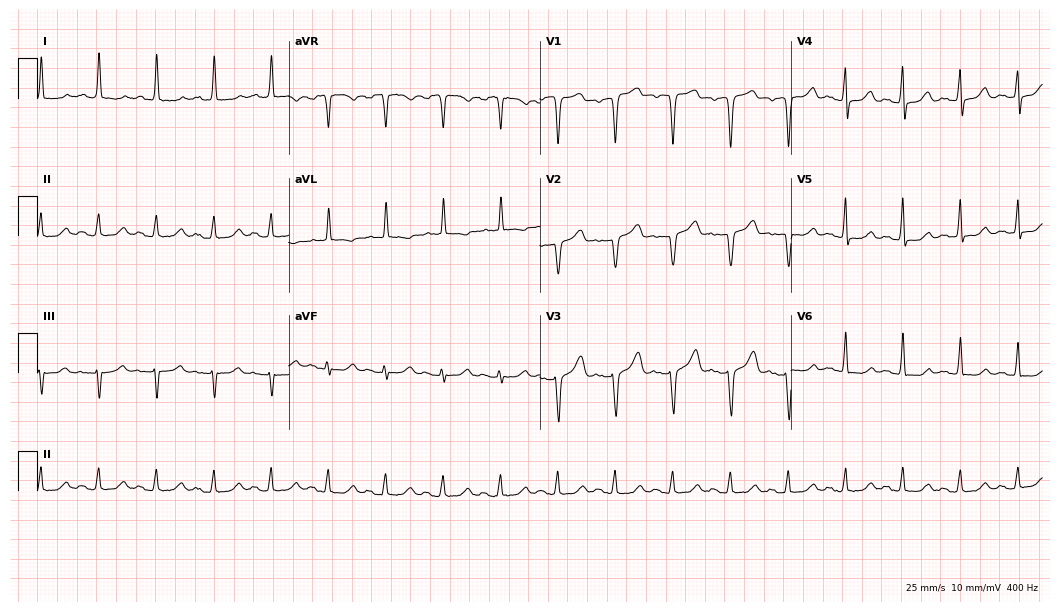
Resting 12-lead electrocardiogram (10.2-second recording at 400 Hz). Patient: a female, 61 years old. Read as a normal ECG.